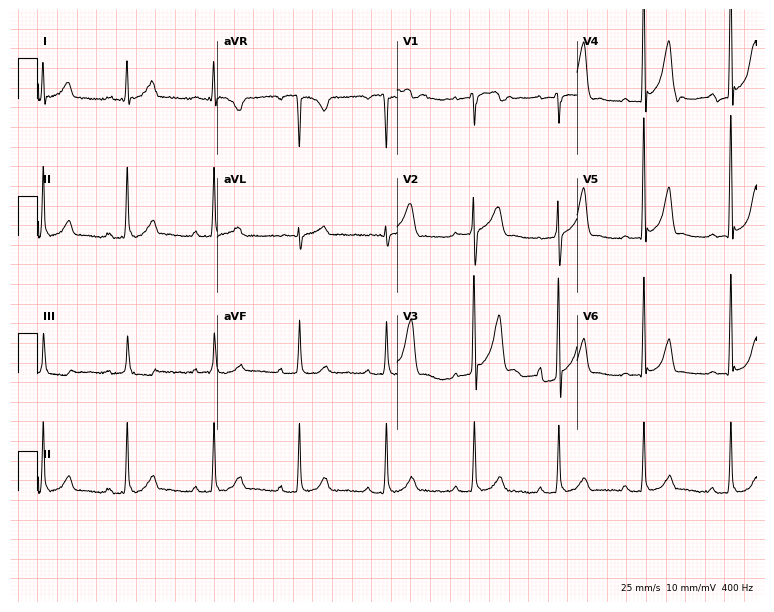
Standard 12-lead ECG recorded from a male patient, 29 years old (7.3-second recording at 400 Hz). None of these six findings is recorded: first-degree AV block, right bundle branch block (RBBB), left bundle branch block (LBBB), sinus bradycardia, atrial fibrillation (AF), sinus tachycardia. Only these six findings were labelled.